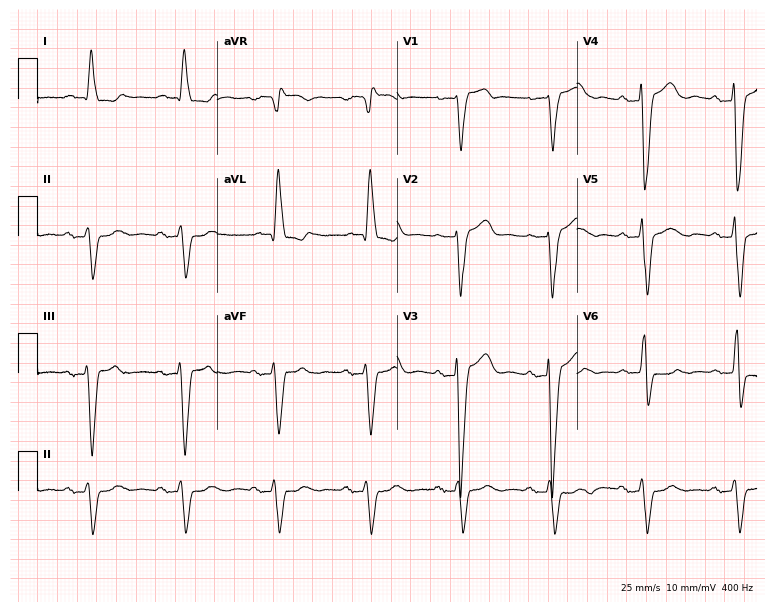
12-lead ECG (7.3-second recording at 400 Hz) from a 77-year-old man. Findings include left bundle branch block.